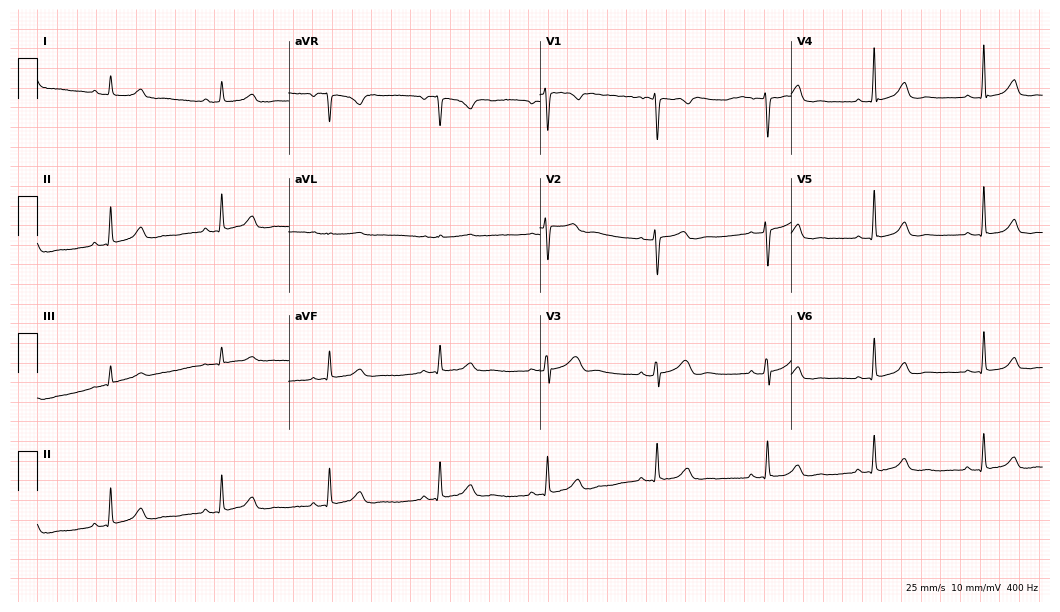
Resting 12-lead electrocardiogram. Patient: a 35-year-old female. Read as a normal ECG.